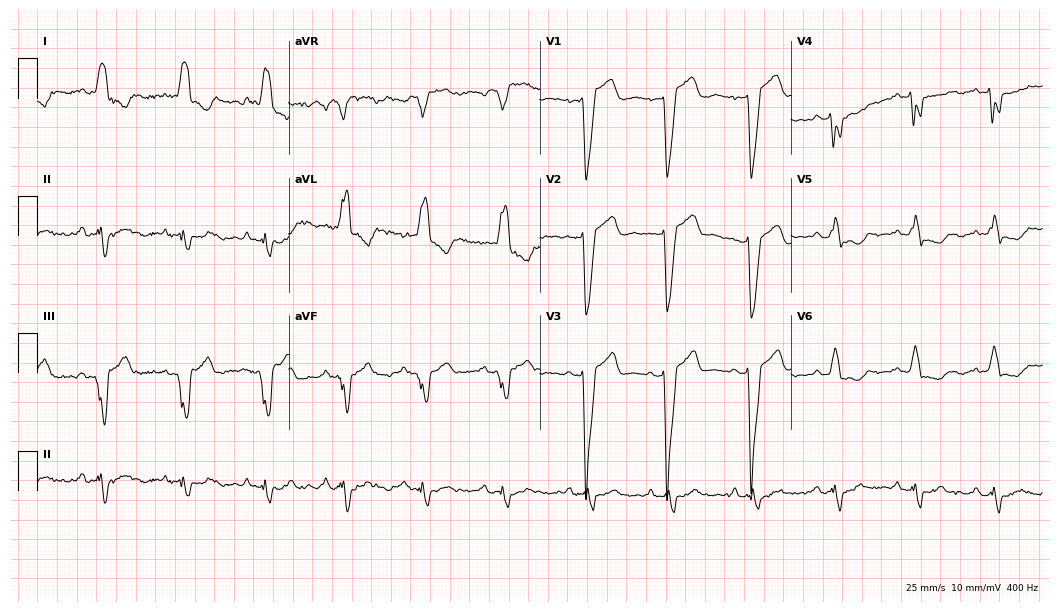
Electrocardiogram (10.2-second recording at 400 Hz), a man, 83 years old. Interpretation includes left bundle branch block.